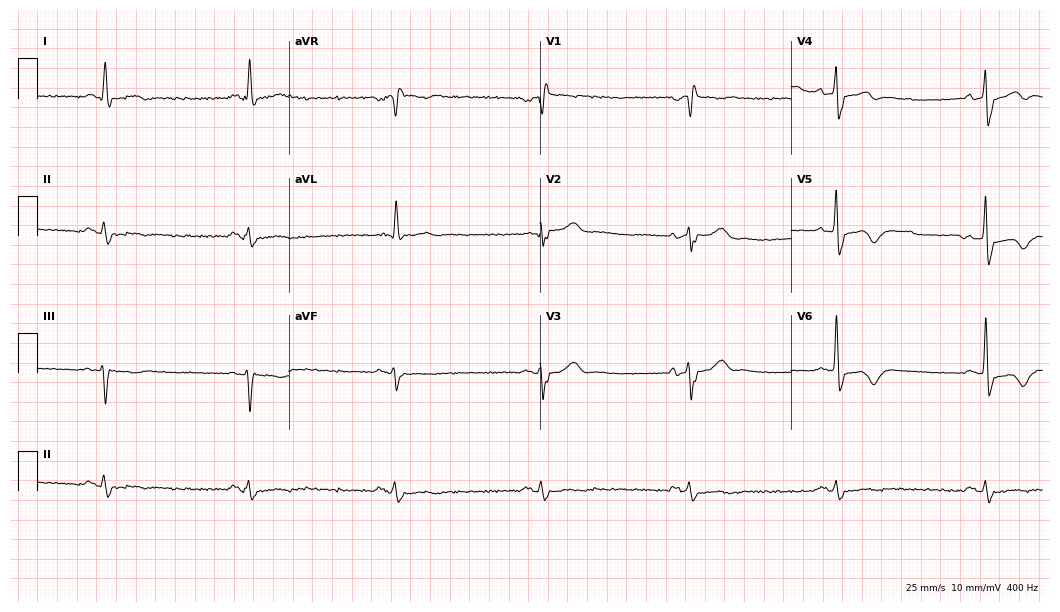
Resting 12-lead electrocardiogram (10.2-second recording at 400 Hz). Patient: an 87-year-old male. The tracing shows sinus bradycardia (a sinus rate of 50 beats per minute or less).